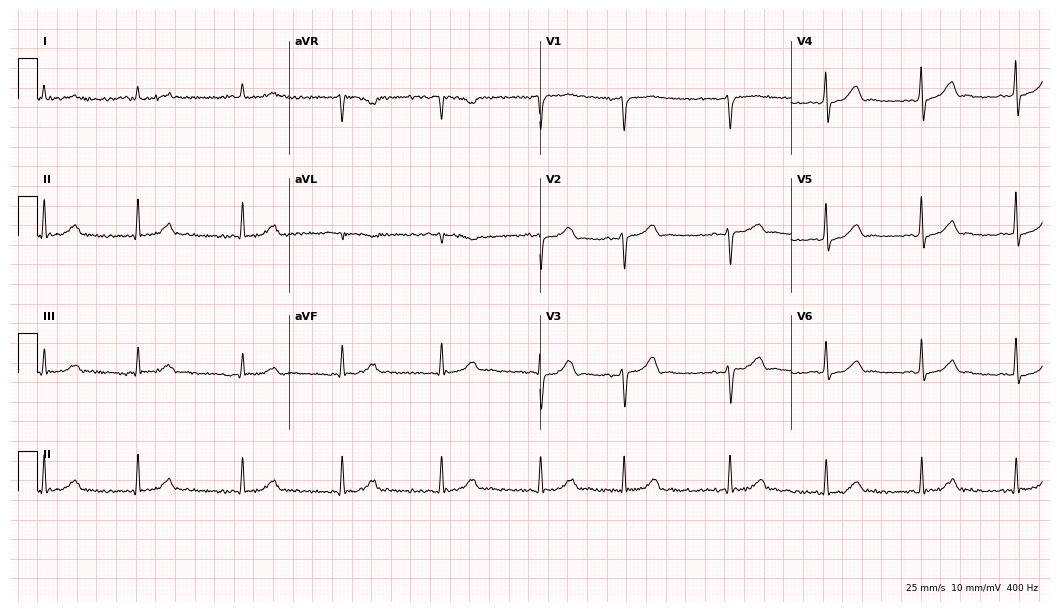
Resting 12-lead electrocardiogram (10.2-second recording at 400 Hz). Patient: a 77-year-old male. None of these six findings is recorded: first-degree AV block, right bundle branch block (RBBB), left bundle branch block (LBBB), sinus bradycardia, atrial fibrillation (AF), sinus tachycardia. Other findings, if any, are not listed.